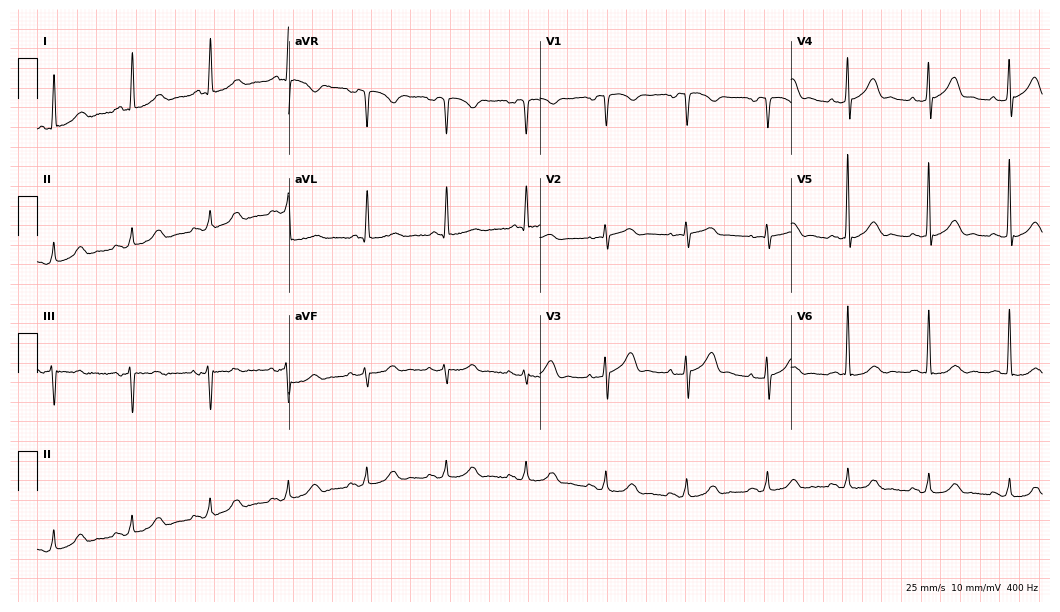
Standard 12-lead ECG recorded from a 73-year-old man (10.2-second recording at 400 Hz). Read as a normal ECG.